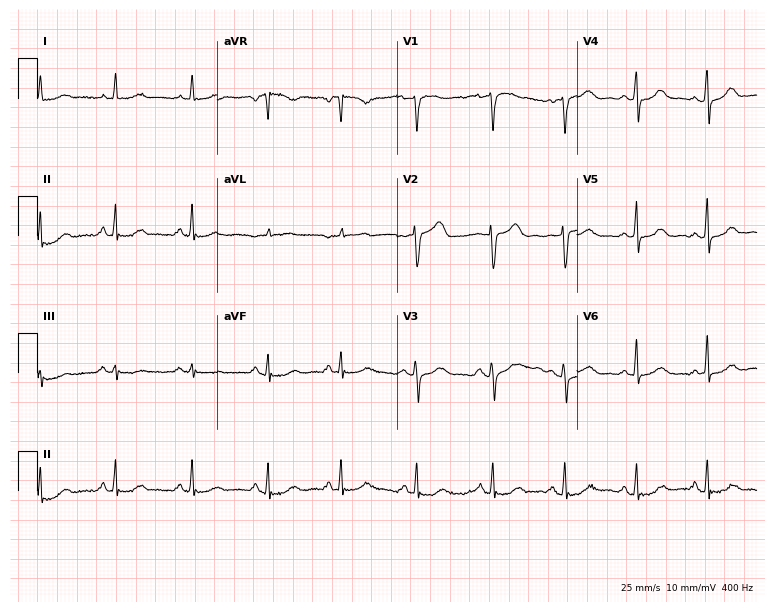
Resting 12-lead electrocardiogram (7.3-second recording at 400 Hz). Patient: a woman, 51 years old. None of these six findings is recorded: first-degree AV block, right bundle branch block, left bundle branch block, sinus bradycardia, atrial fibrillation, sinus tachycardia. Other findings, if any, are not listed.